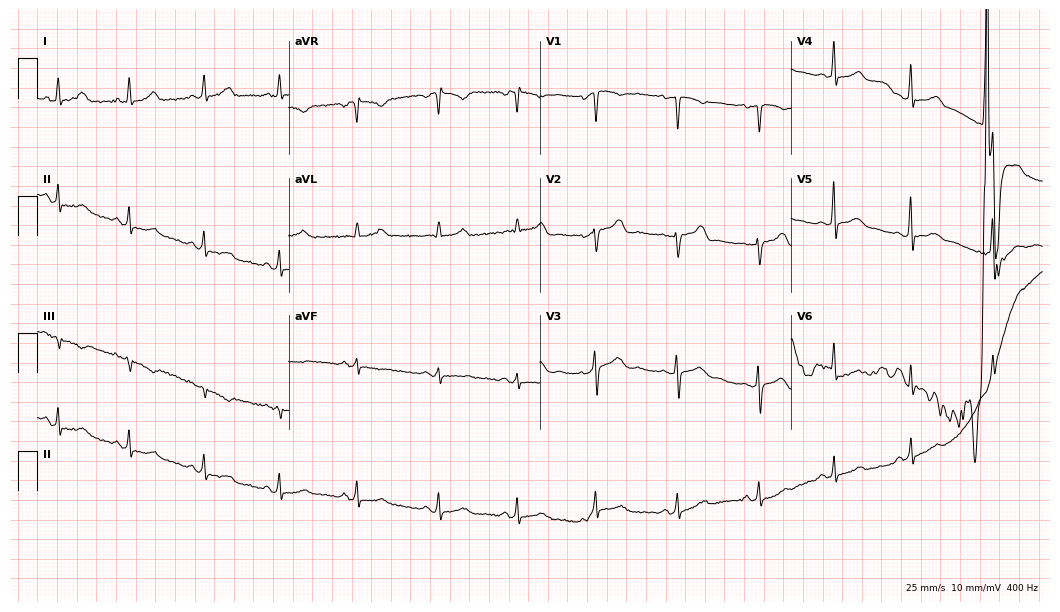
Standard 12-lead ECG recorded from a 44-year-old woman. None of these six findings is recorded: first-degree AV block, right bundle branch block (RBBB), left bundle branch block (LBBB), sinus bradycardia, atrial fibrillation (AF), sinus tachycardia. Other findings, if any, are not listed.